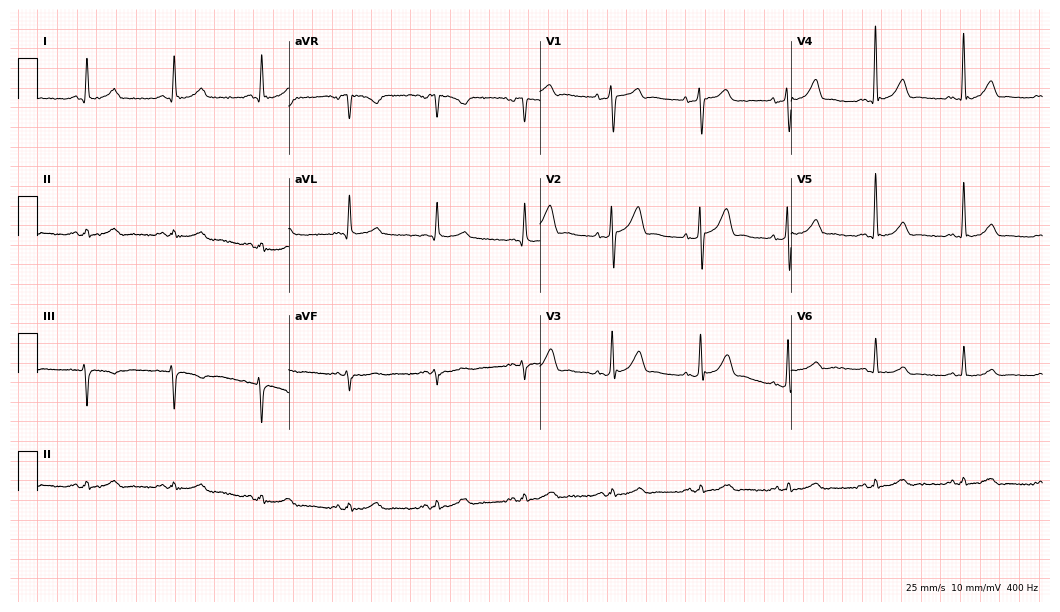
Standard 12-lead ECG recorded from a 52-year-old male patient (10.2-second recording at 400 Hz). Read as a normal ECG.